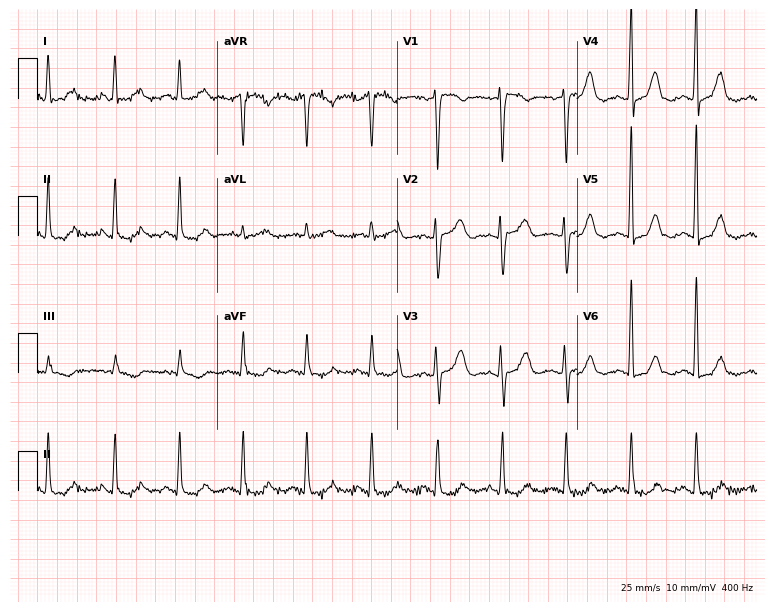
12-lead ECG from a woman, 44 years old. Screened for six findings — first-degree AV block, right bundle branch block, left bundle branch block, sinus bradycardia, atrial fibrillation, sinus tachycardia — none is recorded.